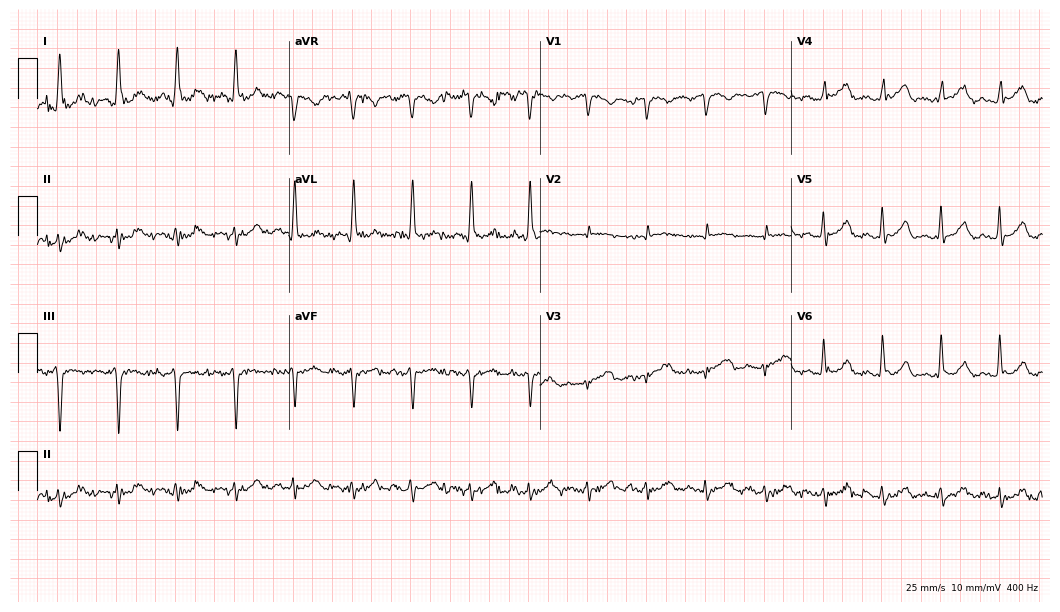
Electrocardiogram, a 79-year-old female patient. Interpretation includes sinus tachycardia (a sinus rate of 100 beats per minute or more).